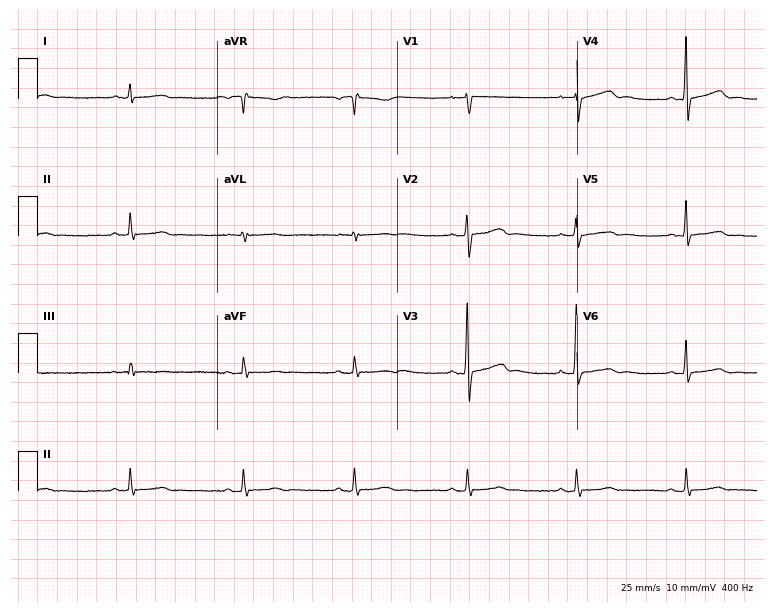
12-lead ECG from a male patient, 52 years old (7.3-second recording at 400 Hz). Recorded interpretation: within normal limits.